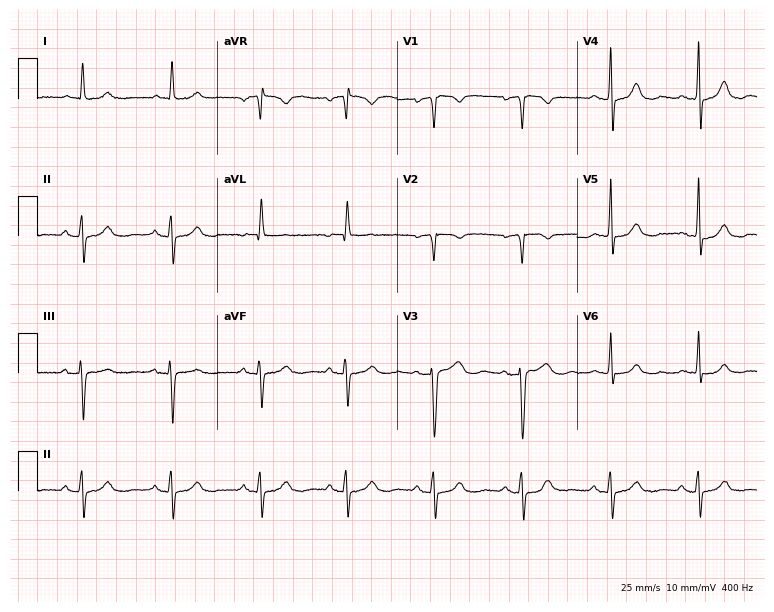
Resting 12-lead electrocardiogram (7.3-second recording at 400 Hz). Patient: a 77-year-old female. None of these six findings is recorded: first-degree AV block, right bundle branch block, left bundle branch block, sinus bradycardia, atrial fibrillation, sinus tachycardia.